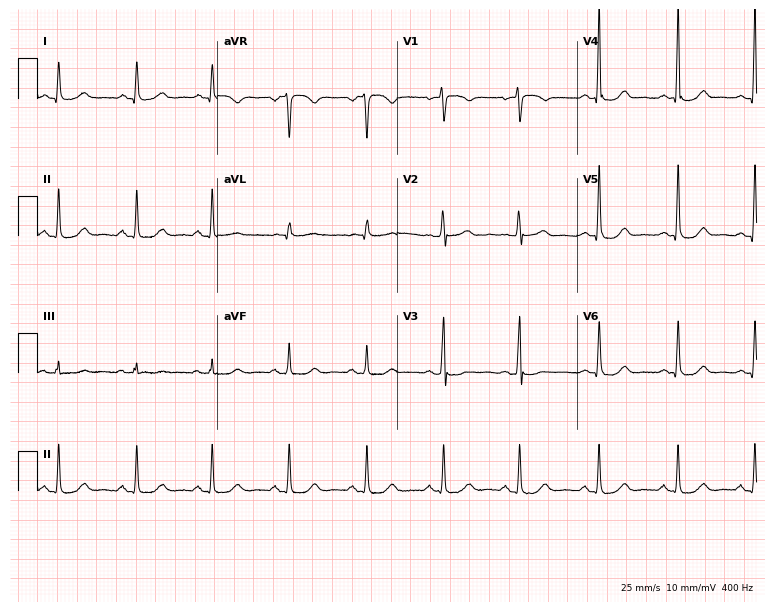
12-lead ECG from a woman, 68 years old (7.3-second recording at 400 Hz). Recorded interpretation: within normal limits.